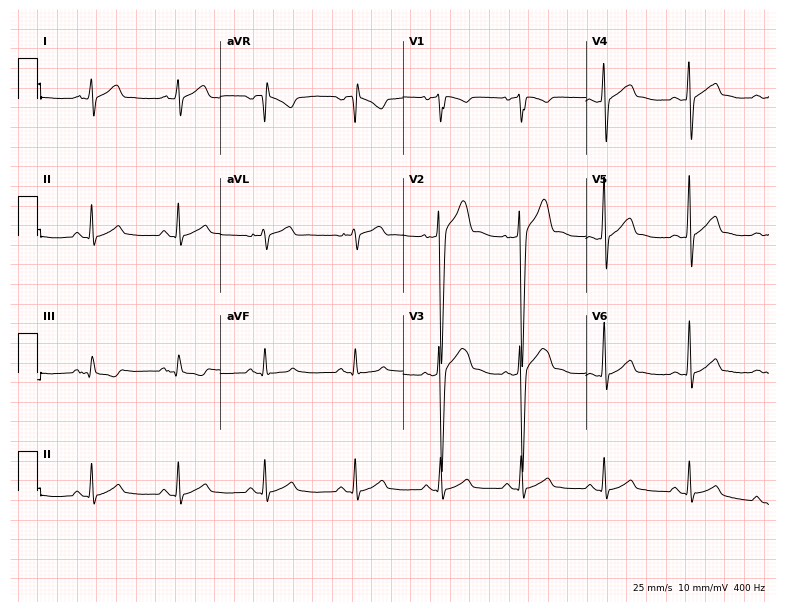
Resting 12-lead electrocardiogram (7.5-second recording at 400 Hz). Patient: a man, 31 years old. Read as a normal ECG.